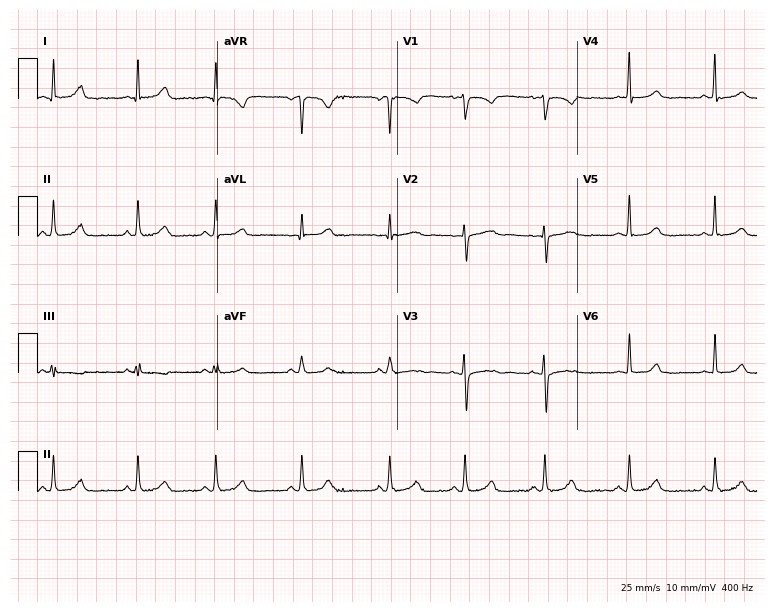
ECG — a woman, 30 years old. Labelled as a normal ECG.